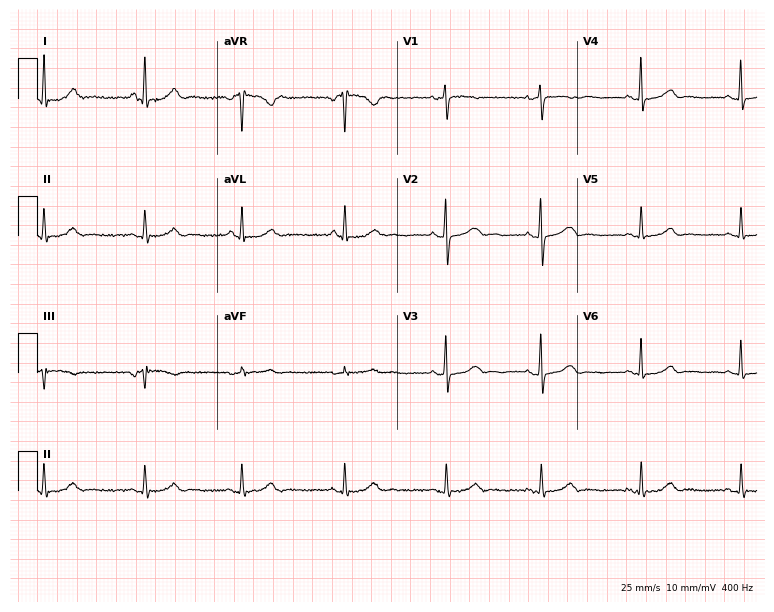
12-lead ECG (7.3-second recording at 400 Hz) from a 51-year-old woman. Labelled as a normal ECG.